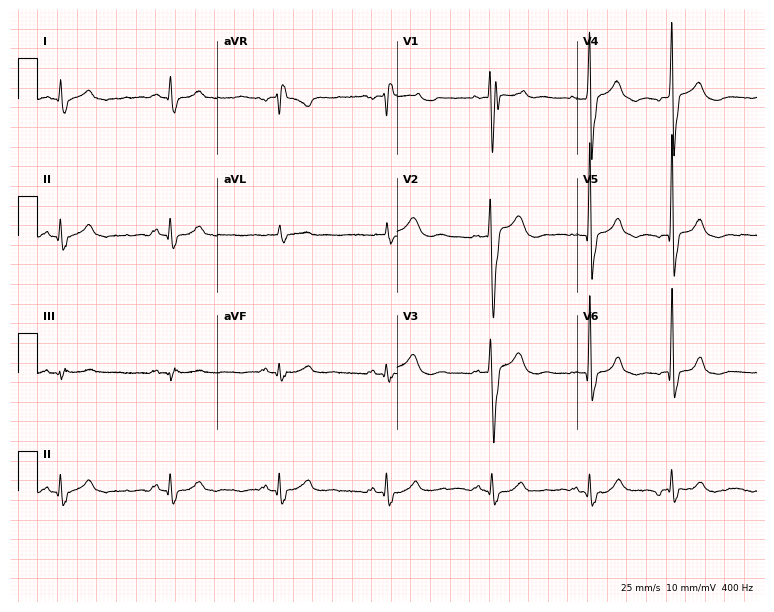
ECG (7.3-second recording at 400 Hz) — a 51-year-old male. Screened for six findings — first-degree AV block, right bundle branch block, left bundle branch block, sinus bradycardia, atrial fibrillation, sinus tachycardia — none is recorded.